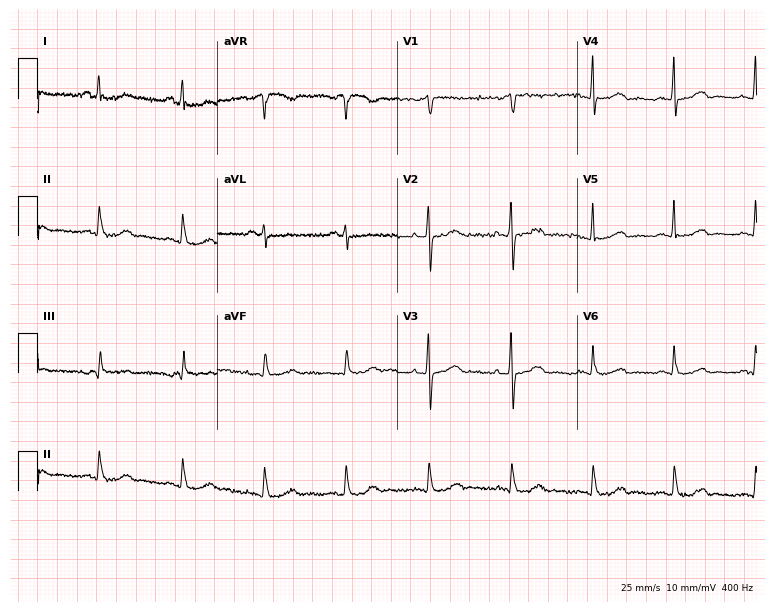
ECG — a 51-year-old man. Screened for six findings — first-degree AV block, right bundle branch block, left bundle branch block, sinus bradycardia, atrial fibrillation, sinus tachycardia — none is recorded. Only these six findings were labelled.